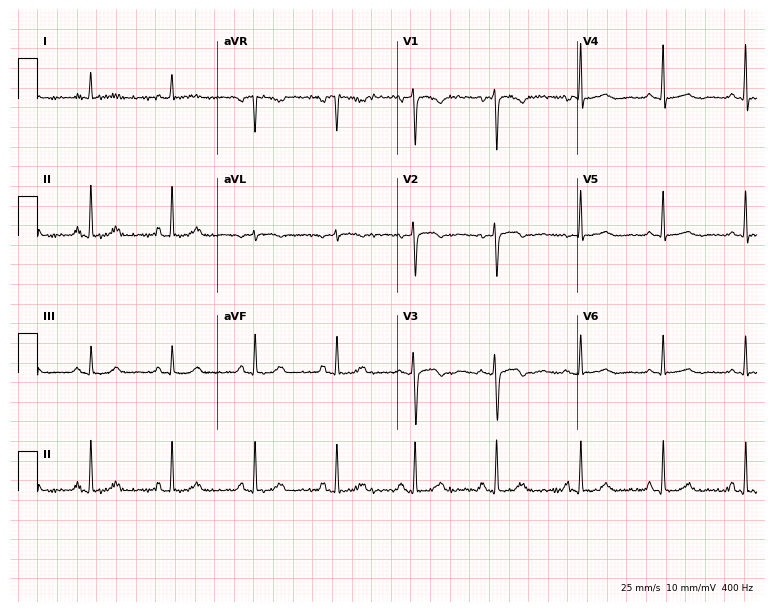
Standard 12-lead ECG recorded from a 47-year-old female patient. Read as a normal ECG.